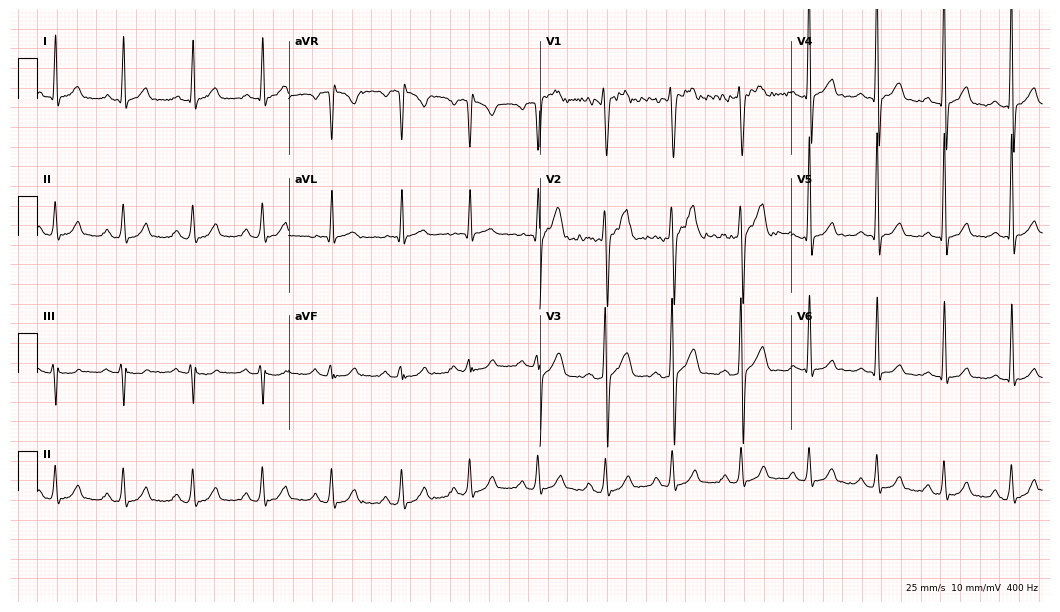
12-lead ECG (10.2-second recording at 400 Hz) from a male, 34 years old. Screened for six findings — first-degree AV block, right bundle branch block, left bundle branch block, sinus bradycardia, atrial fibrillation, sinus tachycardia — none is recorded.